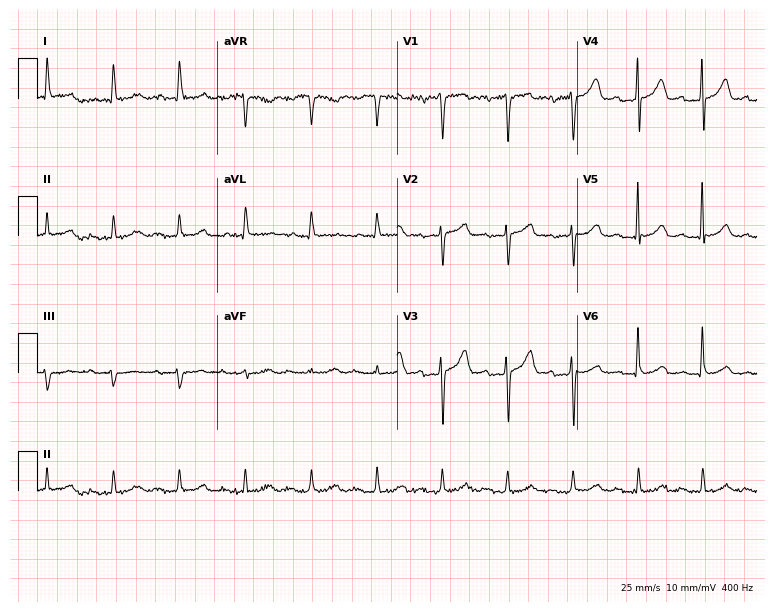
ECG — a male patient, 80 years old. Screened for six findings — first-degree AV block, right bundle branch block (RBBB), left bundle branch block (LBBB), sinus bradycardia, atrial fibrillation (AF), sinus tachycardia — none is recorded.